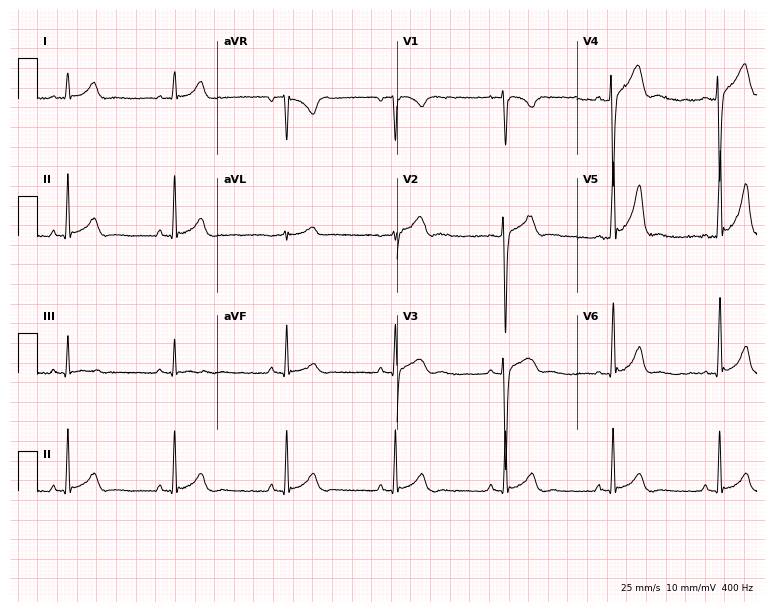
Standard 12-lead ECG recorded from a male, 18 years old (7.3-second recording at 400 Hz). Read as a normal ECG.